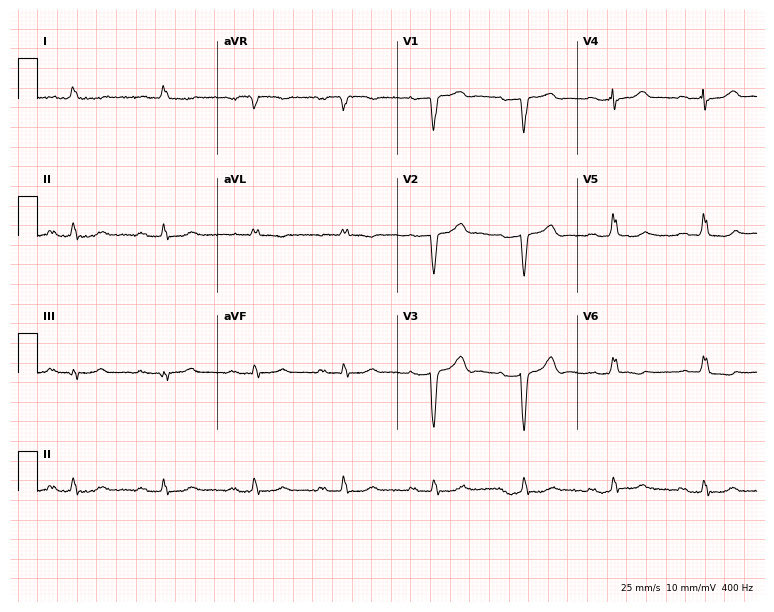
Standard 12-lead ECG recorded from an 84-year-old female (7.3-second recording at 400 Hz). None of these six findings is recorded: first-degree AV block, right bundle branch block (RBBB), left bundle branch block (LBBB), sinus bradycardia, atrial fibrillation (AF), sinus tachycardia.